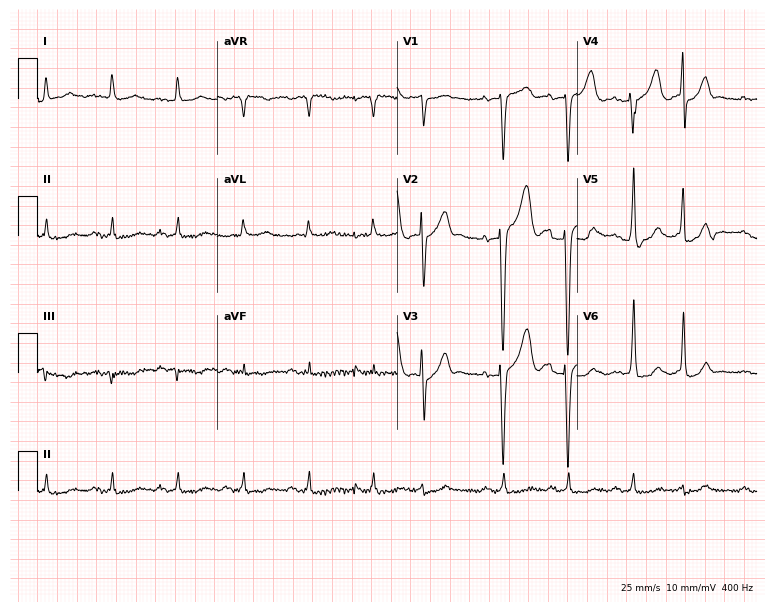
Resting 12-lead electrocardiogram. Patient: a man, 69 years old. None of these six findings is recorded: first-degree AV block, right bundle branch block, left bundle branch block, sinus bradycardia, atrial fibrillation, sinus tachycardia. Only these six findings were labelled.